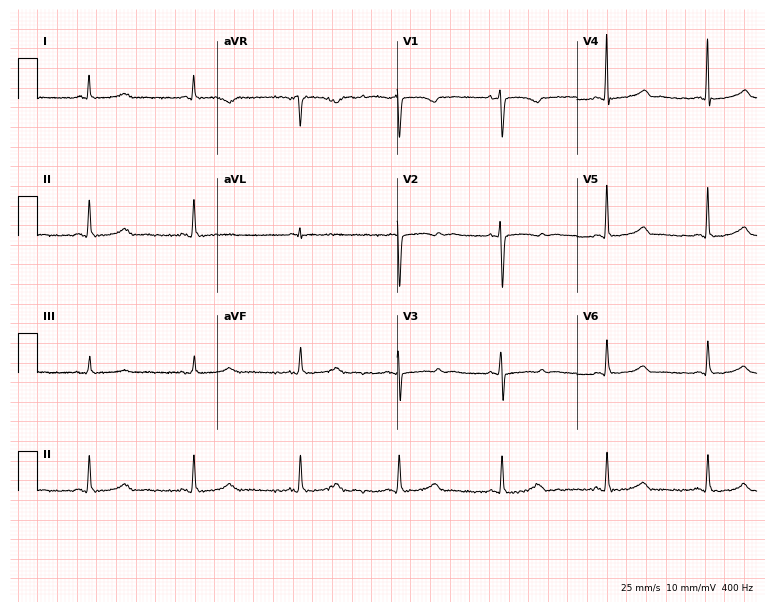
Resting 12-lead electrocardiogram. Patient: a female, 45 years old. None of these six findings is recorded: first-degree AV block, right bundle branch block (RBBB), left bundle branch block (LBBB), sinus bradycardia, atrial fibrillation (AF), sinus tachycardia.